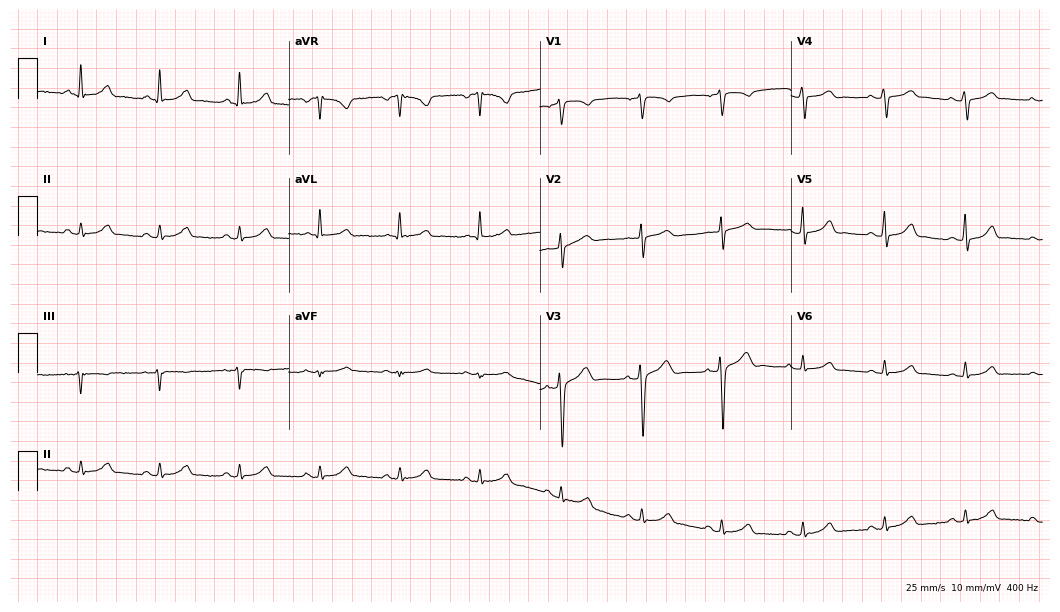
12-lead ECG from a 41-year-old female patient. Labelled as a normal ECG.